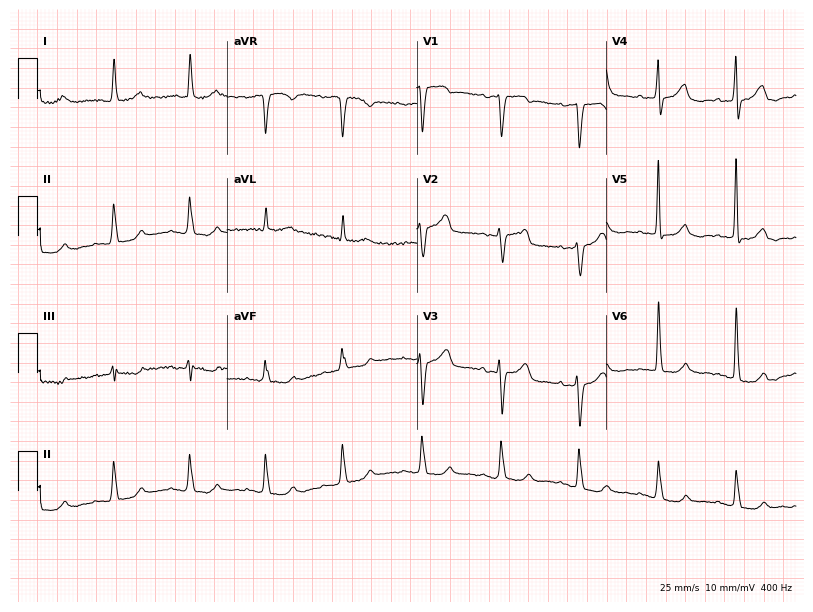
12-lead ECG from a woman, 74 years old. Screened for six findings — first-degree AV block, right bundle branch block, left bundle branch block, sinus bradycardia, atrial fibrillation, sinus tachycardia — none is recorded. Only these six findings were labelled.